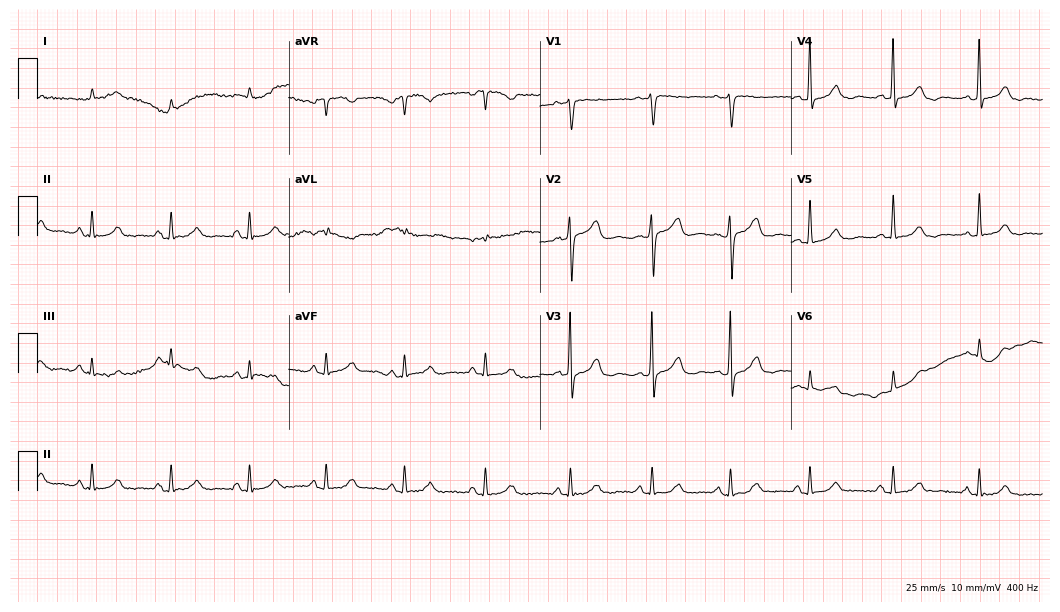
12-lead ECG from a woman, 83 years old. Recorded interpretation: within normal limits.